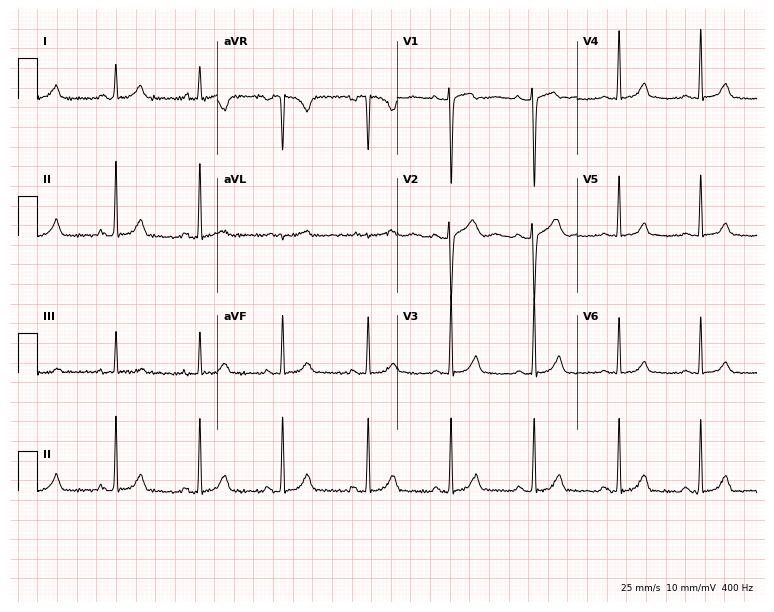
12-lead ECG from a female, 30 years old. Labelled as a normal ECG.